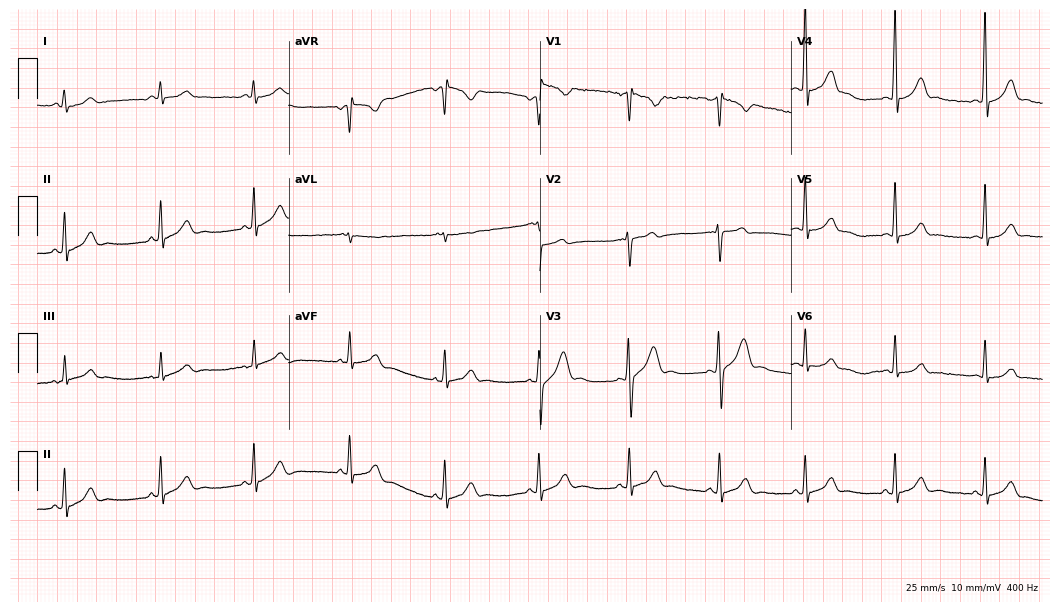
12-lead ECG (10.2-second recording at 400 Hz) from a 26-year-old male patient. Screened for six findings — first-degree AV block, right bundle branch block (RBBB), left bundle branch block (LBBB), sinus bradycardia, atrial fibrillation (AF), sinus tachycardia — none is recorded.